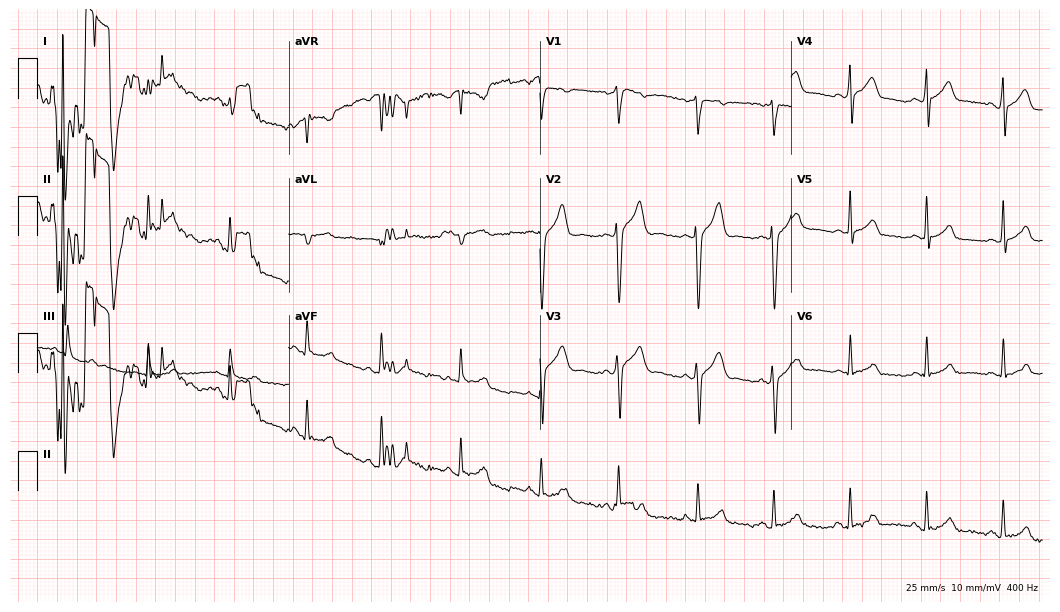
Electrocardiogram, a male, 22 years old. Overall reading on record: normal ECG.